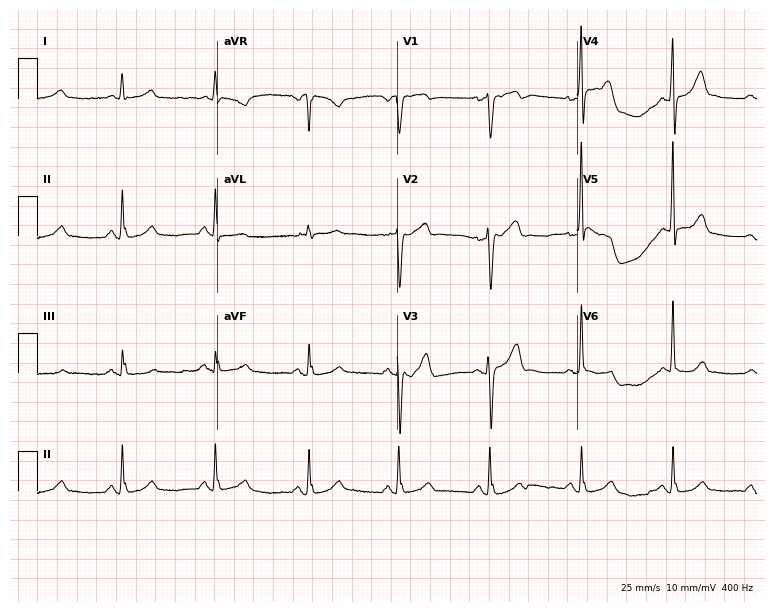
Electrocardiogram (7.3-second recording at 400 Hz), a 66-year-old male patient. Of the six screened findings (first-degree AV block, right bundle branch block, left bundle branch block, sinus bradycardia, atrial fibrillation, sinus tachycardia), none is recorded.